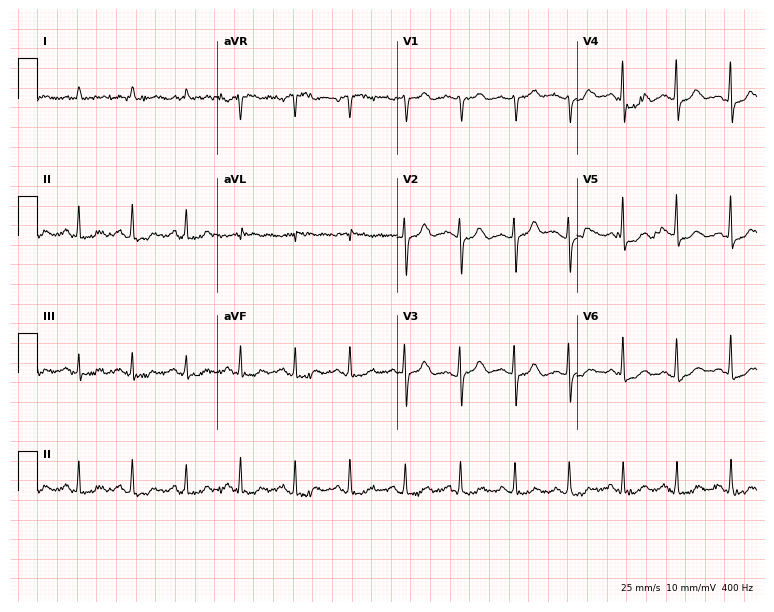
Resting 12-lead electrocardiogram. Patient: a female, 80 years old. None of these six findings is recorded: first-degree AV block, right bundle branch block (RBBB), left bundle branch block (LBBB), sinus bradycardia, atrial fibrillation (AF), sinus tachycardia. Other findings, if any, are not listed.